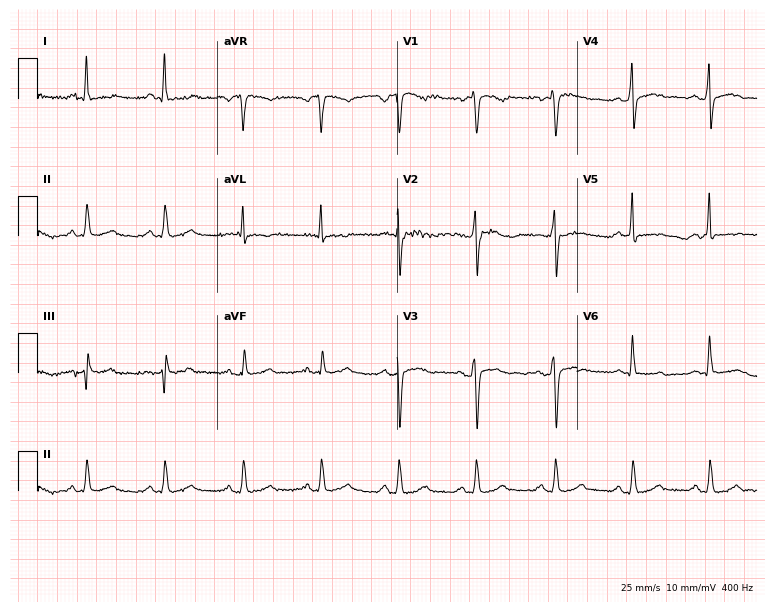
Electrocardiogram (7.3-second recording at 400 Hz), a male, 54 years old. Of the six screened findings (first-degree AV block, right bundle branch block (RBBB), left bundle branch block (LBBB), sinus bradycardia, atrial fibrillation (AF), sinus tachycardia), none is recorded.